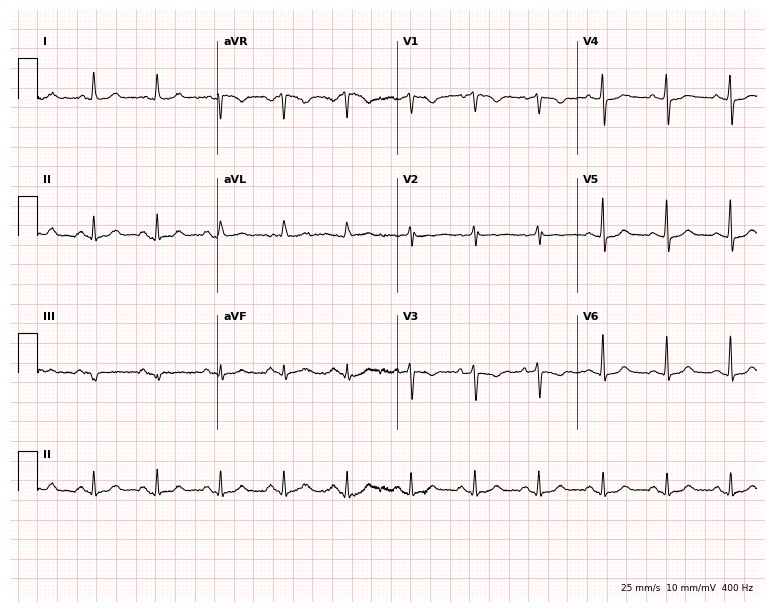
12-lead ECG from a woman, 62 years old. Recorded interpretation: within normal limits.